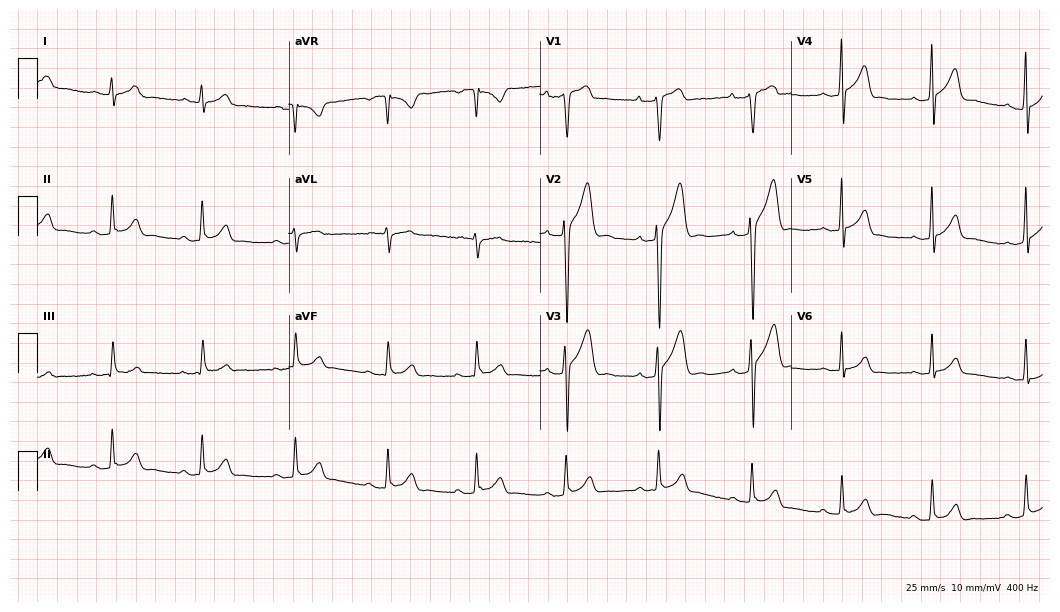
12-lead ECG from a 24-year-old male patient. Recorded interpretation: within normal limits.